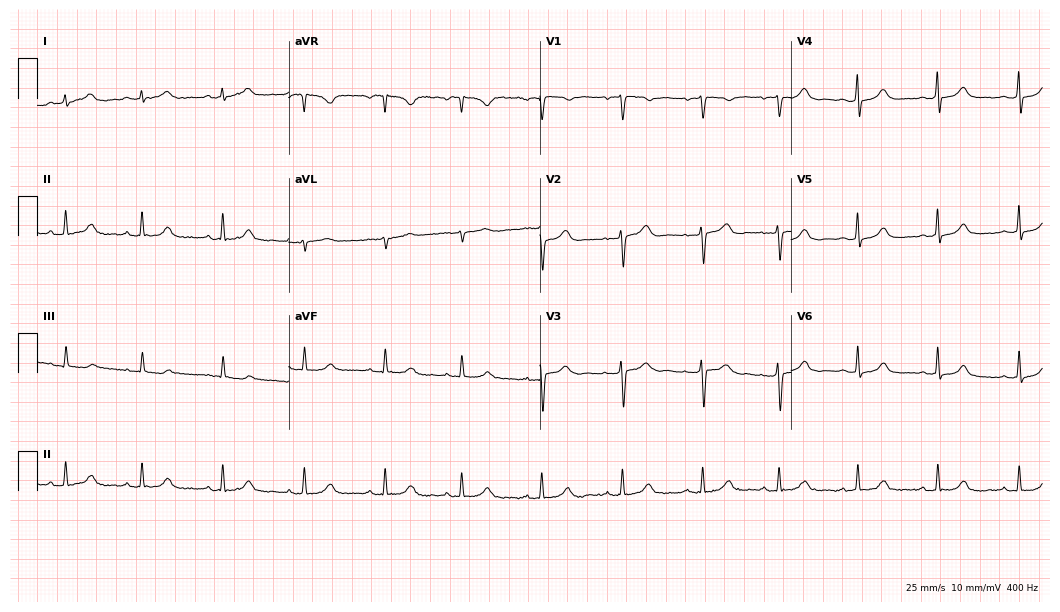
12-lead ECG from a female, 35 years old (10.2-second recording at 400 Hz). Recorded interpretation: within normal limits.